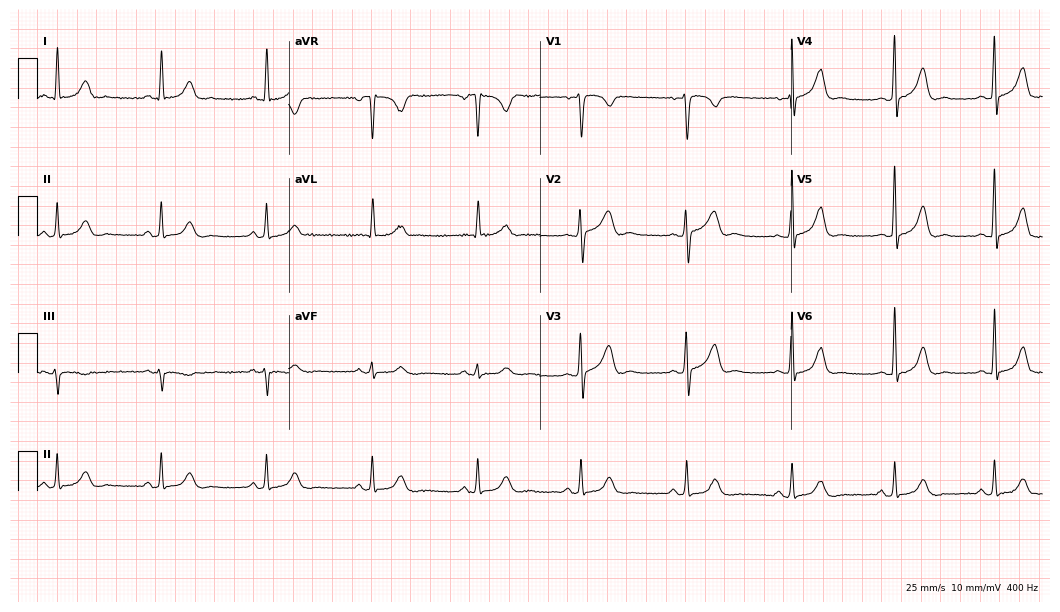
ECG — a female patient, 58 years old. Labelled as a normal ECG.